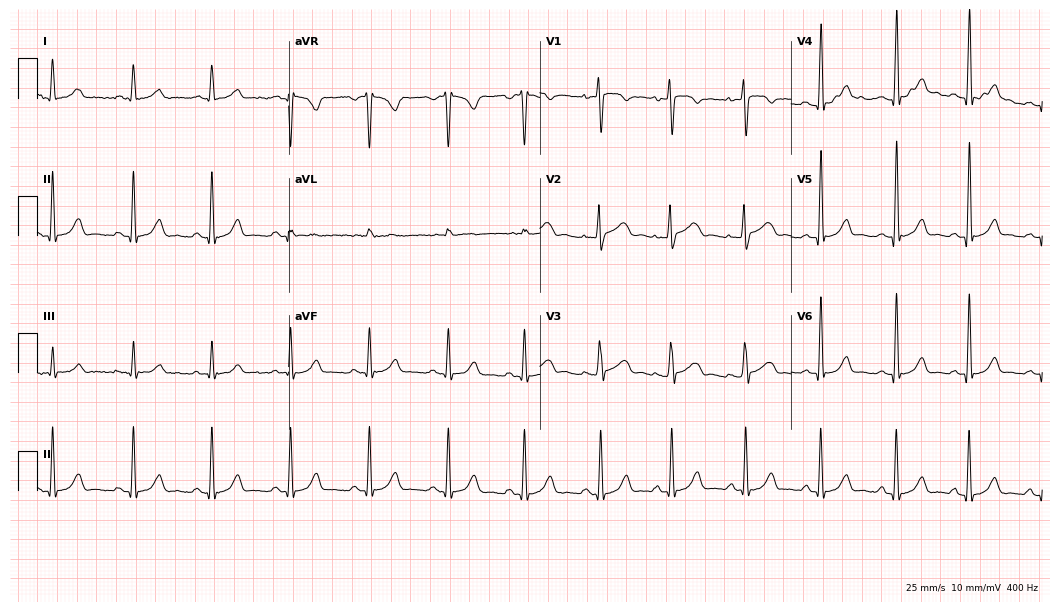
Standard 12-lead ECG recorded from a 33-year-old woman (10.2-second recording at 400 Hz). Read as a normal ECG.